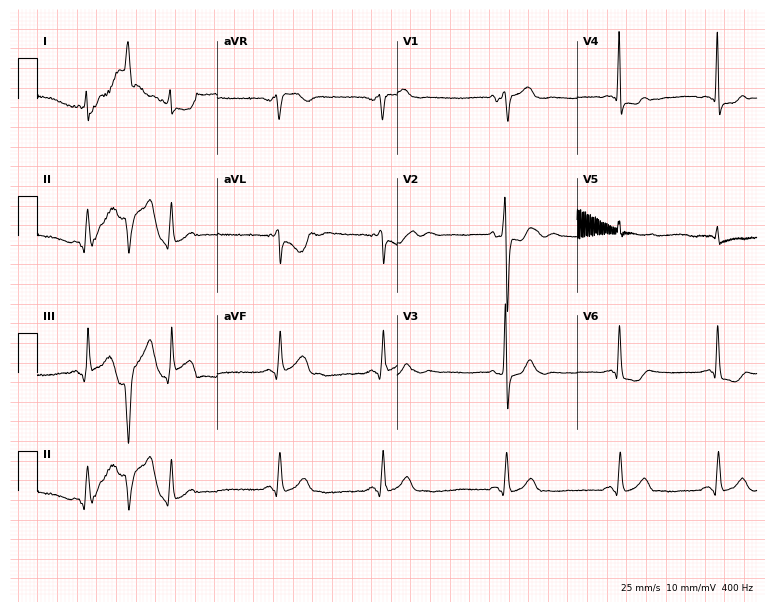
12-lead ECG (7.3-second recording at 400 Hz) from a 52-year-old male patient. Screened for six findings — first-degree AV block, right bundle branch block, left bundle branch block, sinus bradycardia, atrial fibrillation, sinus tachycardia — none is recorded.